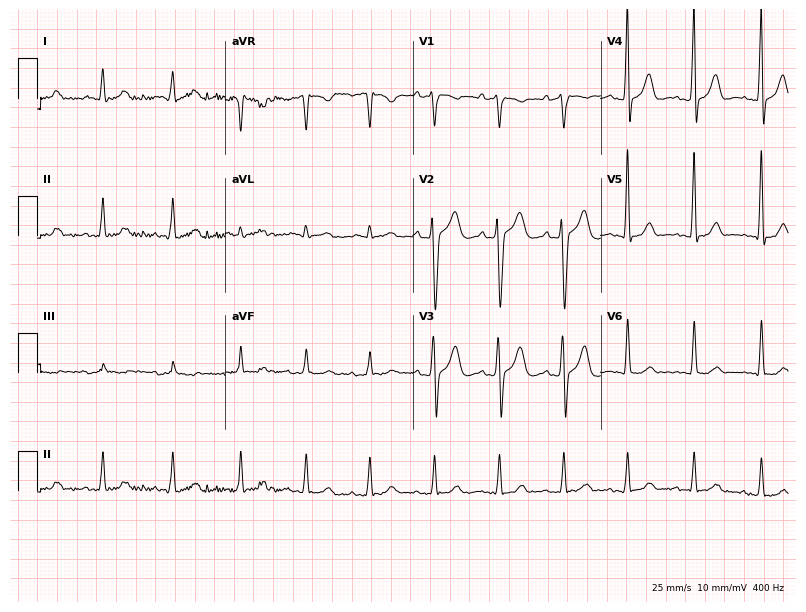
Electrocardiogram, a 71-year-old man. Of the six screened findings (first-degree AV block, right bundle branch block, left bundle branch block, sinus bradycardia, atrial fibrillation, sinus tachycardia), none is recorded.